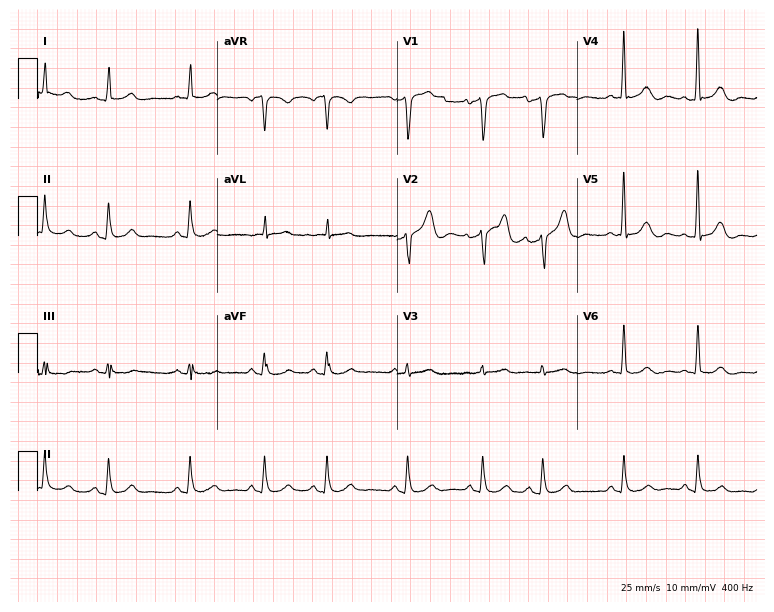
12-lead ECG (7.3-second recording at 400 Hz) from a 57-year-old man. Screened for six findings — first-degree AV block, right bundle branch block (RBBB), left bundle branch block (LBBB), sinus bradycardia, atrial fibrillation (AF), sinus tachycardia — none is recorded. Findings outside these six are not listed.